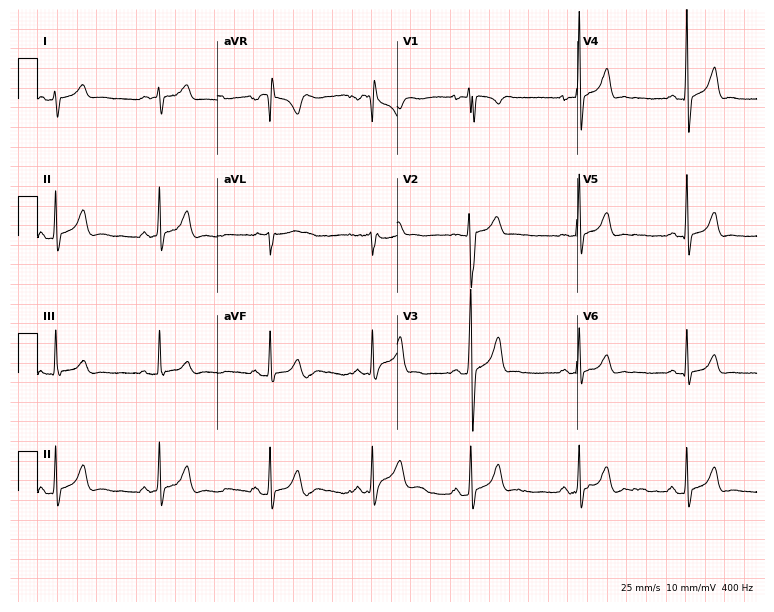
Electrocardiogram (7.3-second recording at 400 Hz), a male, 18 years old. Overall reading on record: normal ECG.